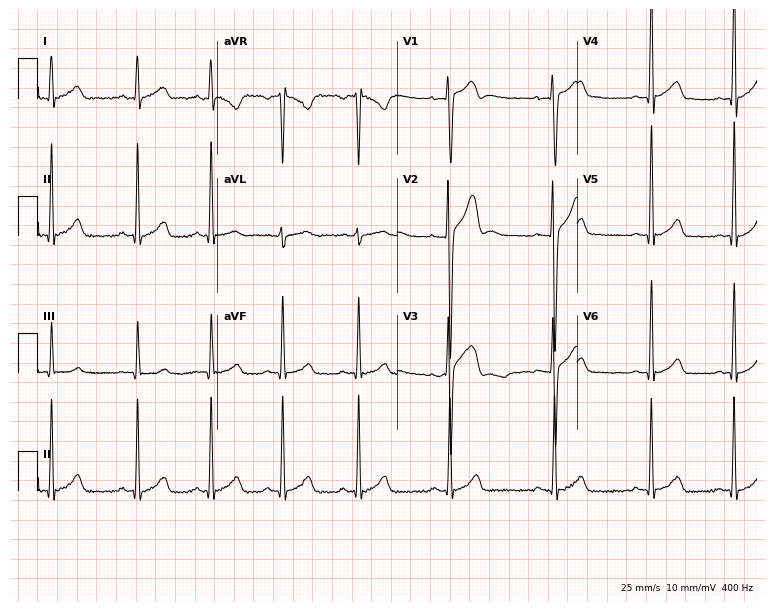
12-lead ECG from a male, 17 years old. Recorded interpretation: within normal limits.